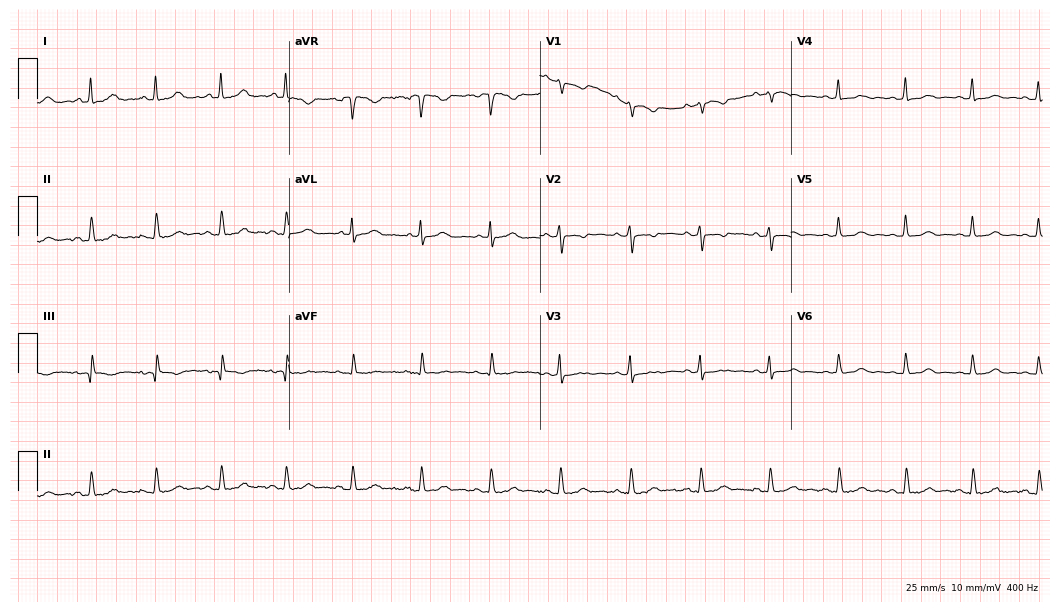
Resting 12-lead electrocardiogram (10.2-second recording at 400 Hz). Patient: a 41-year-old female. Read as a normal ECG.